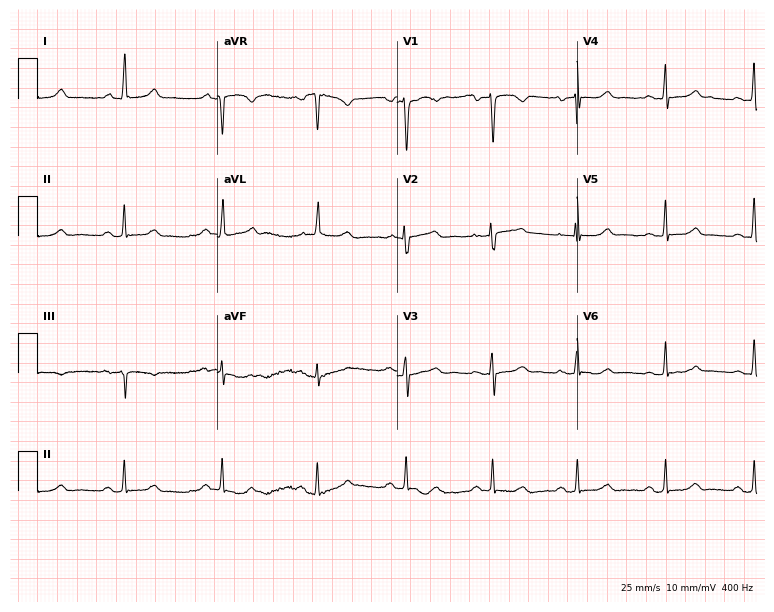
Resting 12-lead electrocardiogram (7.3-second recording at 400 Hz). Patient: a 46-year-old female. Read as a normal ECG.